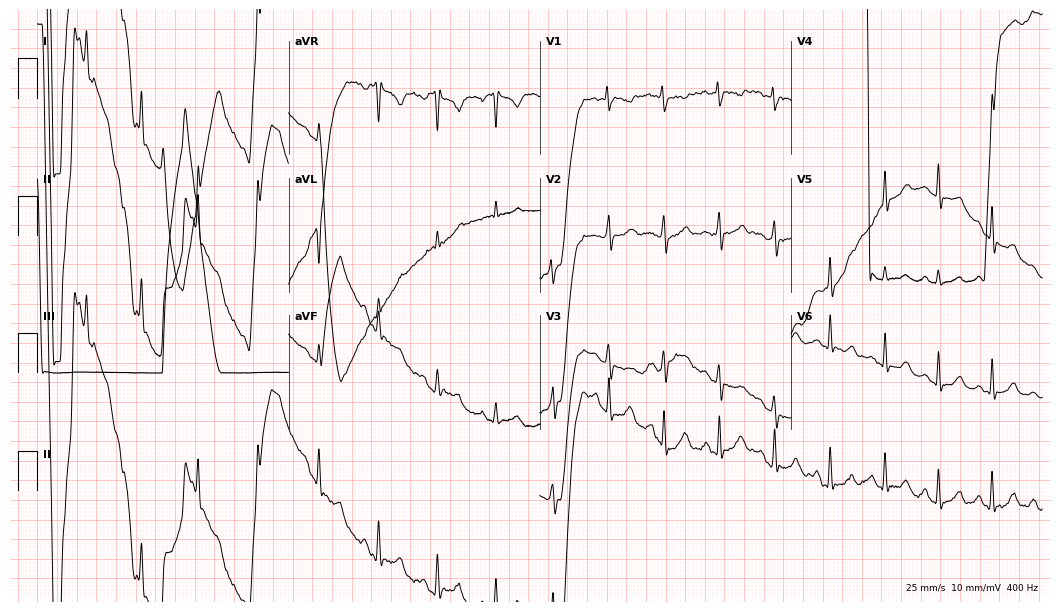
Standard 12-lead ECG recorded from a 25-year-old female. None of these six findings is recorded: first-degree AV block, right bundle branch block (RBBB), left bundle branch block (LBBB), sinus bradycardia, atrial fibrillation (AF), sinus tachycardia. Other findings, if any, are not listed.